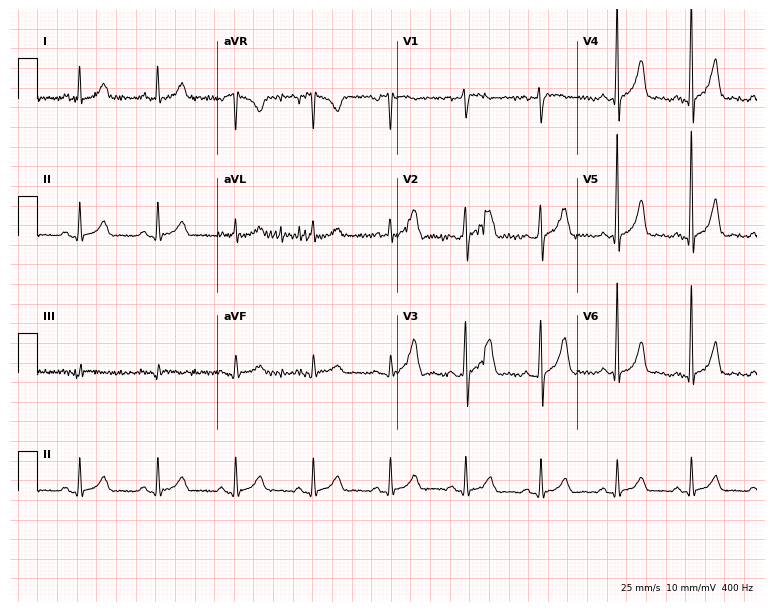
Standard 12-lead ECG recorded from a 66-year-old man (7.3-second recording at 400 Hz). Read as a normal ECG.